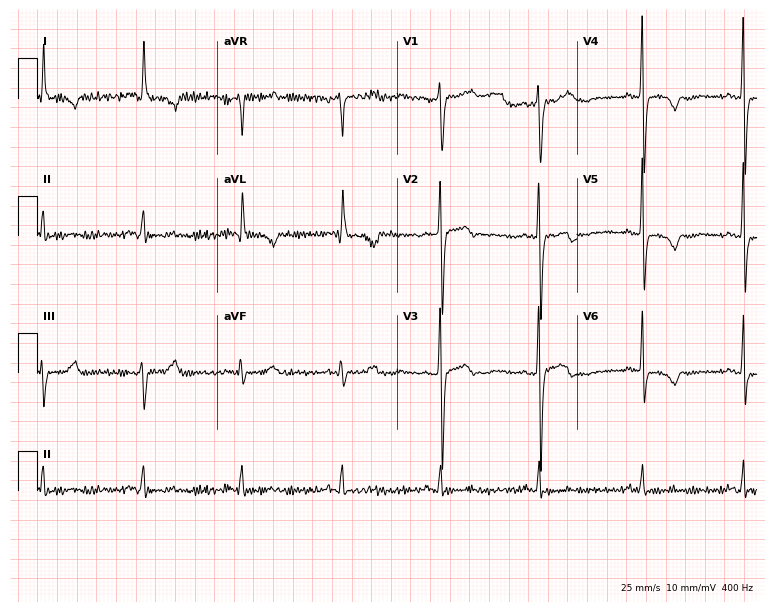
12-lead ECG from a 53-year-old woman. No first-degree AV block, right bundle branch block, left bundle branch block, sinus bradycardia, atrial fibrillation or sinus tachycardia recorded for this tracing.